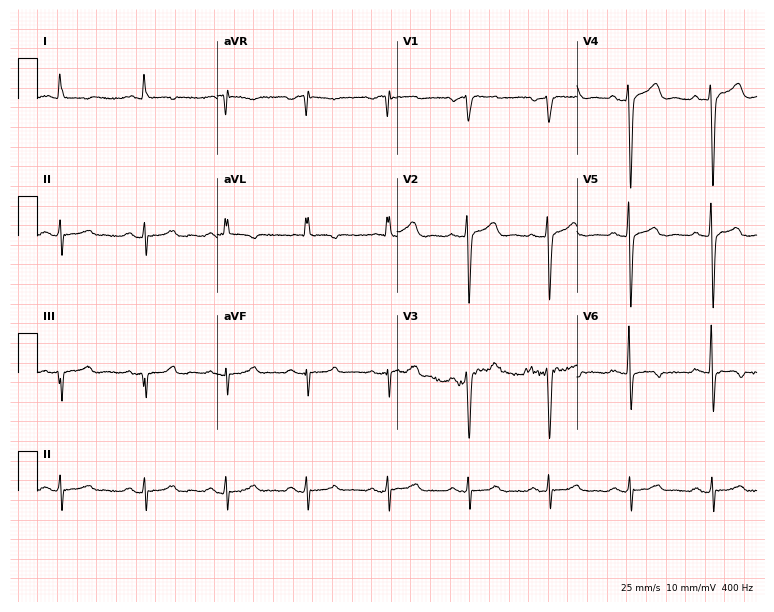
Standard 12-lead ECG recorded from a male patient, 60 years old (7.3-second recording at 400 Hz). None of these six findings is recorded: first-degree AV block, right bundle branch block (RBBB), left bundle branch block (LBBB), sinus bradycardia, atrial fibrillation (AF), sinus tachycardia. Findings outside these six are not listed.